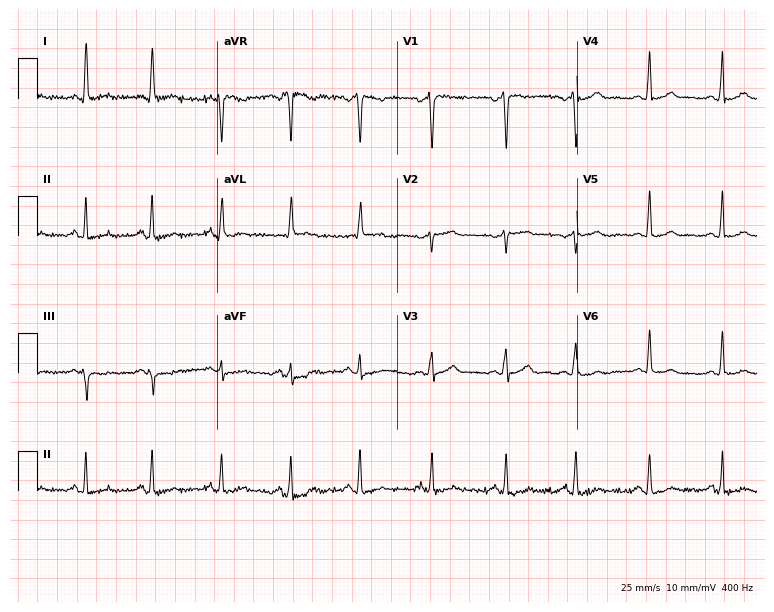
12-lead ECG from a female patient, 35 years old (7.3-second recording at 400 Hz). No first-degree AV block, right bundle branch block, left bundle branch block, sinus bradycardia, atrial fibrillation or sinus tachycardia recorded for this tracing. Findings outside these six are not listed.